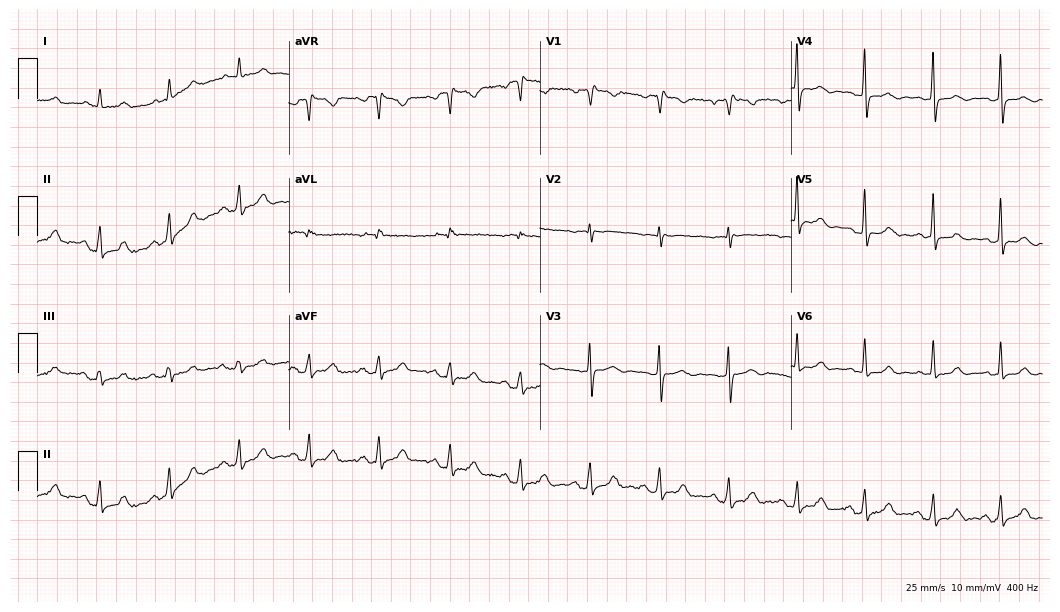
Electrocardiogram, a 60-year-old female. Of the six screened findings (first-degree AV block, right bundle branch block (RBBB), left bundle branch block (LBBB), sinus bradycardia, atrial fibrillation (AF), sinus tachycardia), none is recorded.